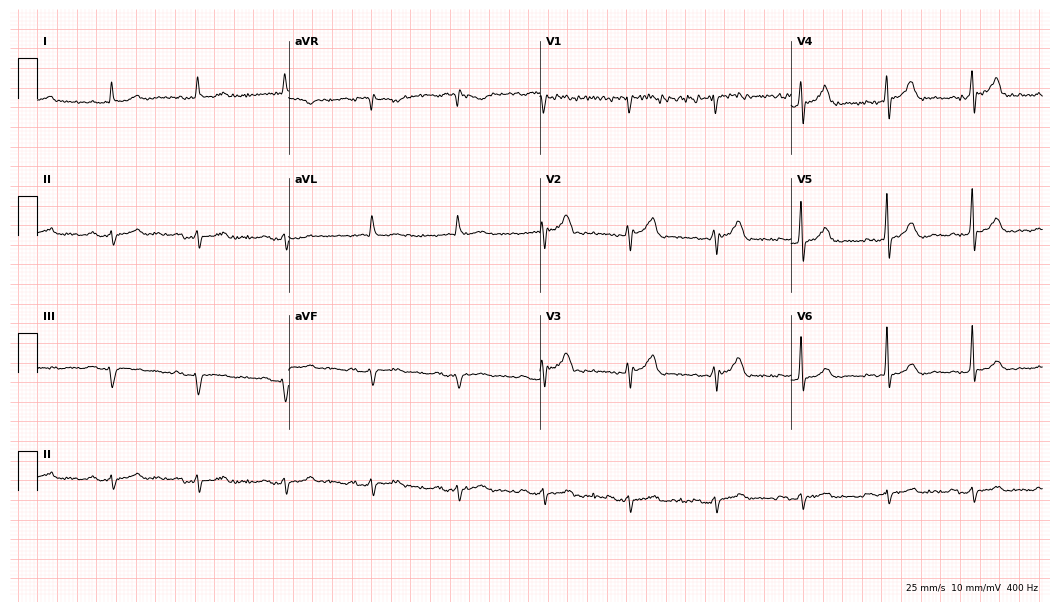
Resting 12-lead electrocardiogram. Patient: a male, 81 years old. None of these six findings is recorded: first-degree AV block, right bundle branch block, left bundle branch block, sinus bradycardia, atrial fibrillation, sinus tachycardia. Findings outside these six are not listed.